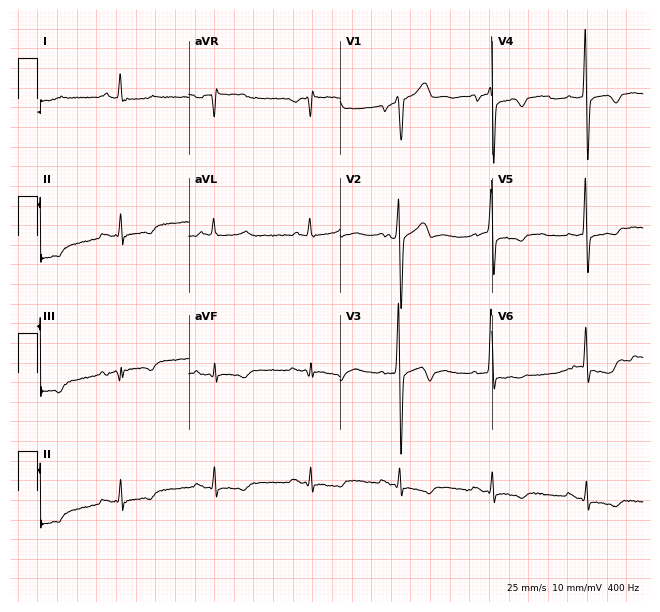
Resting 12-lead electrocardiogram. Patient: a 71-year-old male. None of these six findings is recorded: first-degree AV block, right bundle branch block, left bundle branch block, sinus bradycardia, atrial fibrillation, sinus tachycardia. Only these six findings were labelled.